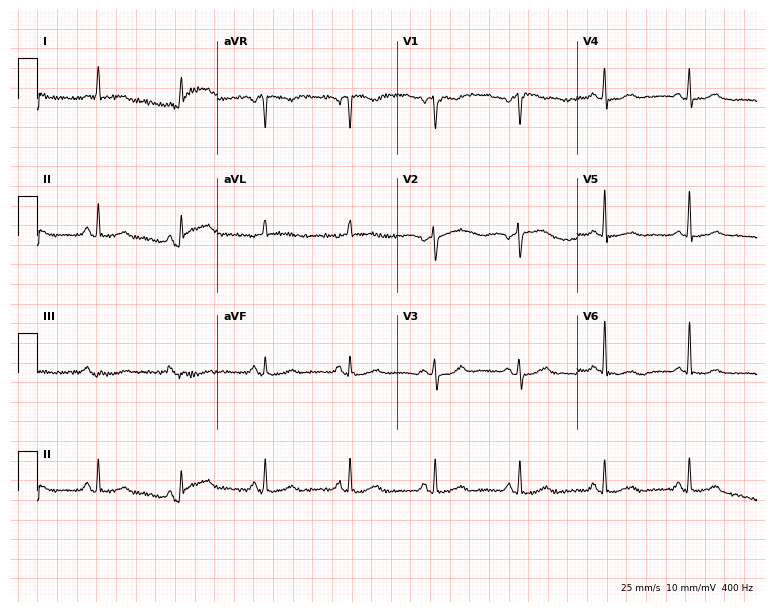
Standard 12-lead ECG recorded from a female, 52 years old (7.3-second recording at 400 Hz). None of these six findings is recorded: first-degree AV block, right bundle branch block (RBBB), left bundle branch block (LBBB), sinus bradycardia, atrial fibrillation (AF), sinus tachycardia. Only these six findings were labelled.